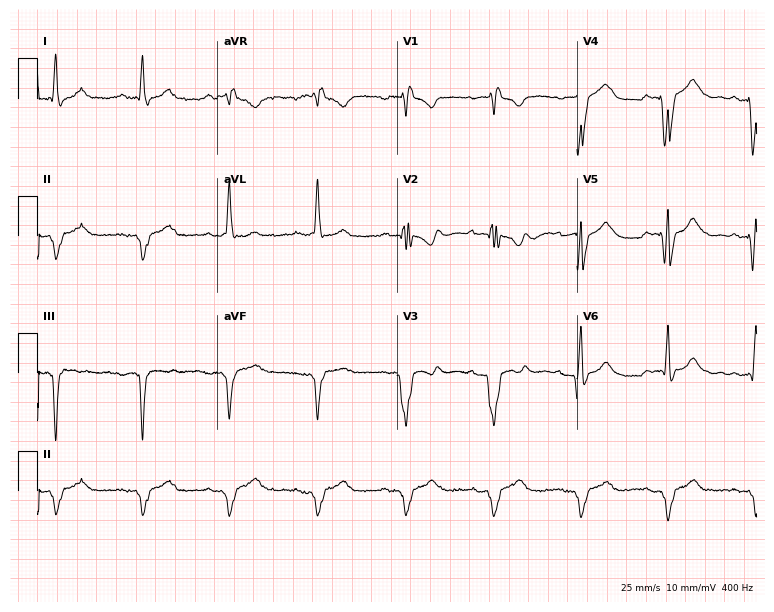
12-lead ECG from a male, 81 years old (7.3-second recording at 400 Hz). Shows right bundle branch block (RBBB).